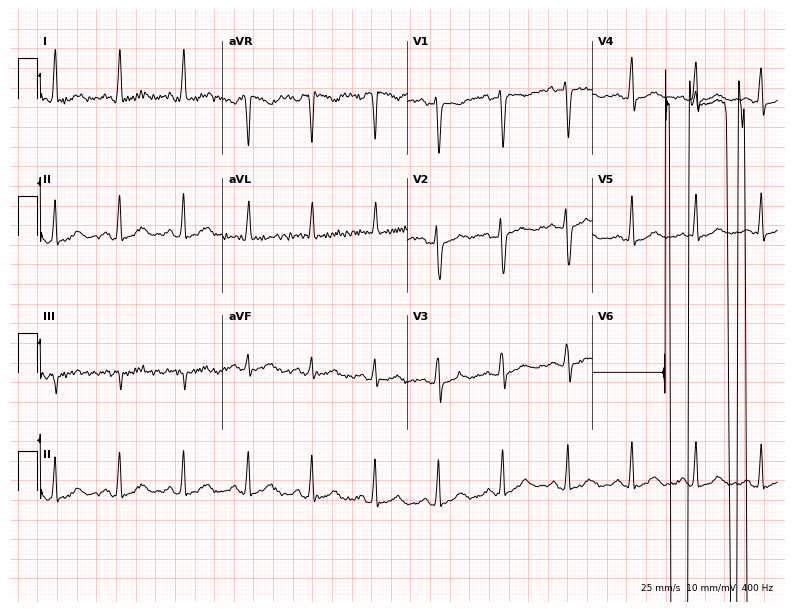
12-lead ECG from a 31-year-old man (7.5-second recording at 400 Hz). No first-degree AV block, right bundle branch block (RBBB), left bundle branch block (LBBB), sinus bradycardia, atrial fibrillation (AF) or sinus tachycardia recorded for this tracing.